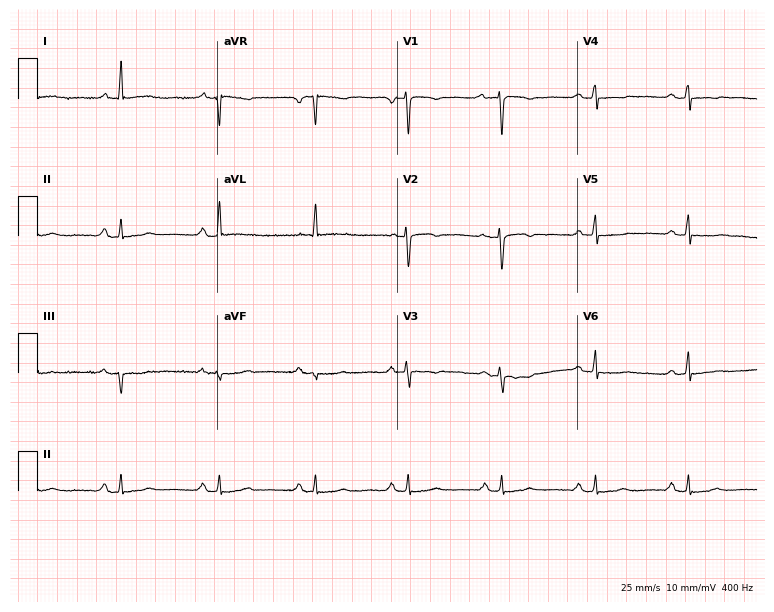
Resting 12-lead electrocardiogram. Patient: a 49-year-old female. None of these six findings is recorded: first-degree AV block, right bundle branch block, left bundle branch block, sinus bradycardia, atrial fibrillation, sinus tachycardia.